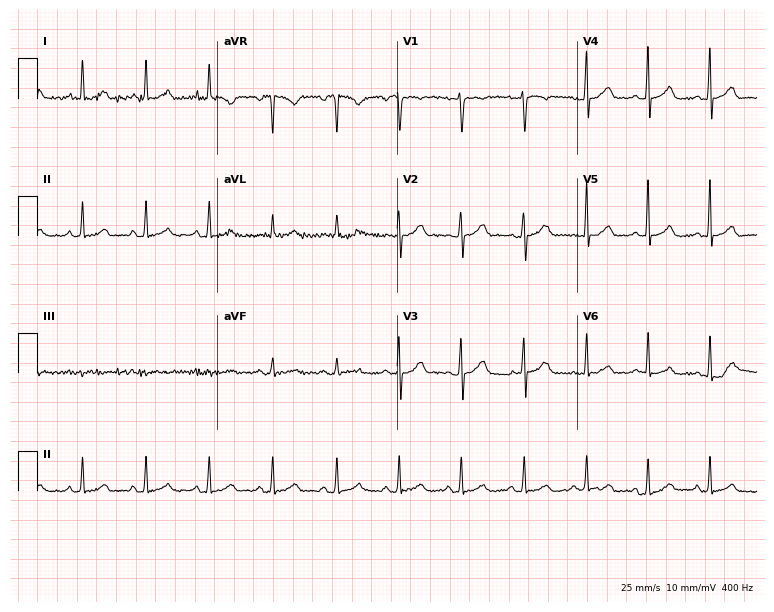
ECG — a woman, 24 years old. Labelled as a normal ECG.